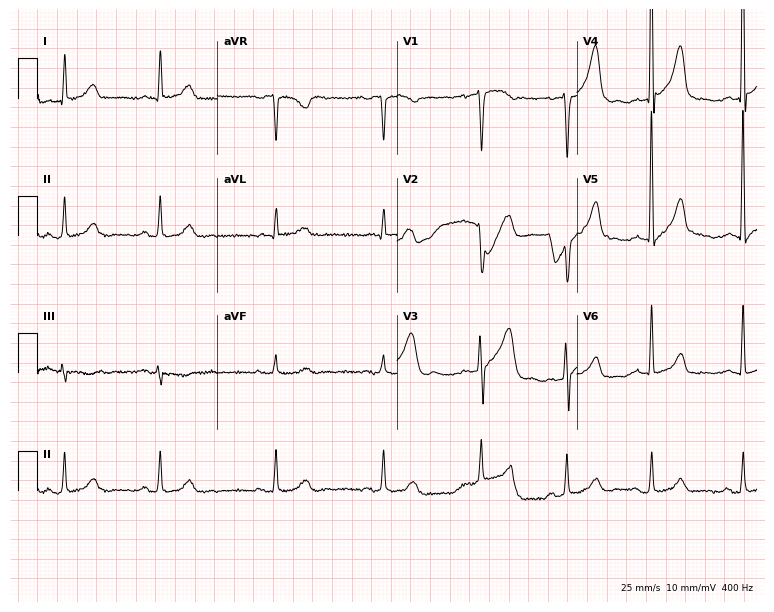
Standard 12-lead ECG recorded from a 59-year-old man (7.3-second recording at 400 Hz). Read as a normal ECG.